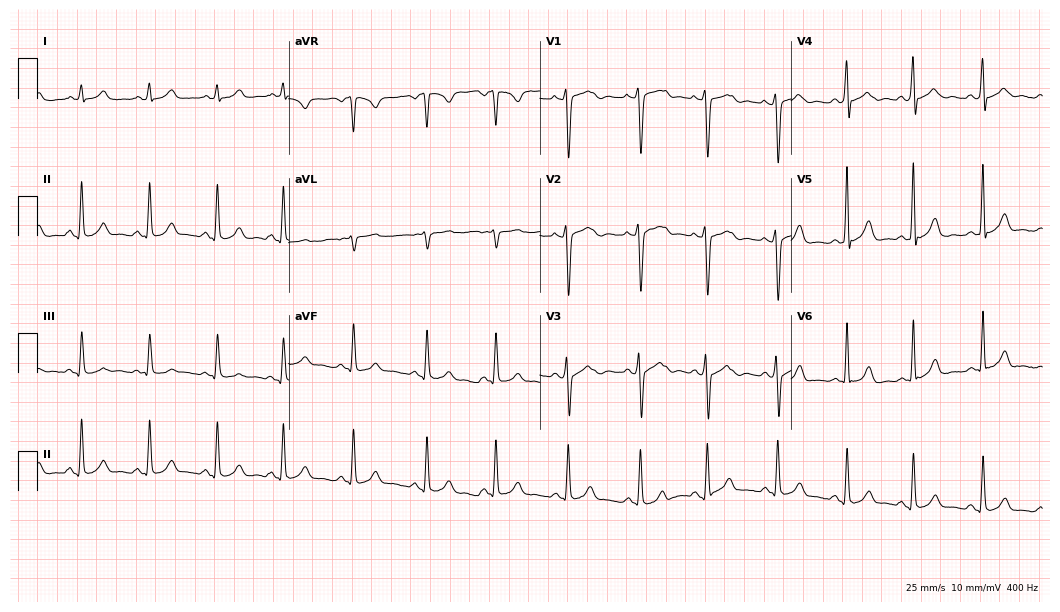
ECG — a female patient, 25 years old. Labelled as a normal ECG.